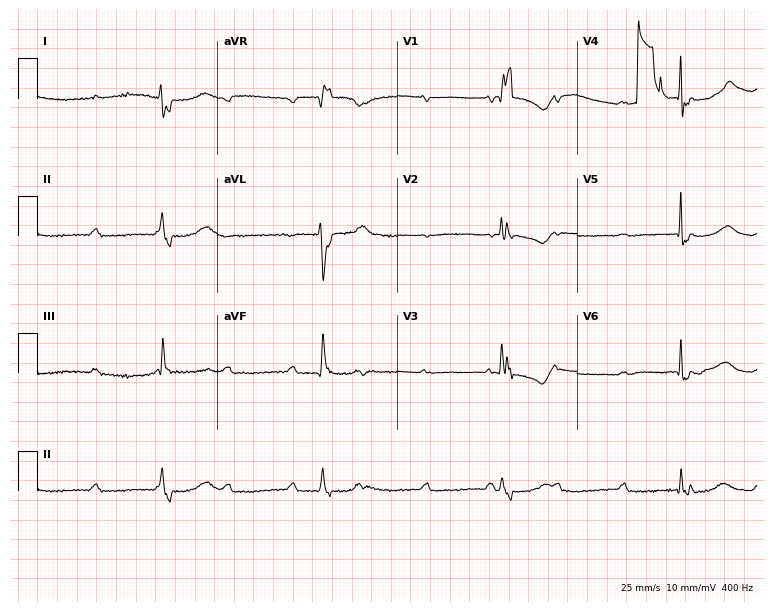
Standard 12-lead ECG recorded from a female, 80 years old. The tracing shows first-degree AV block, right bundle branch block, sinus bradycardia (a sinus rate of 50 beats per minute or less).